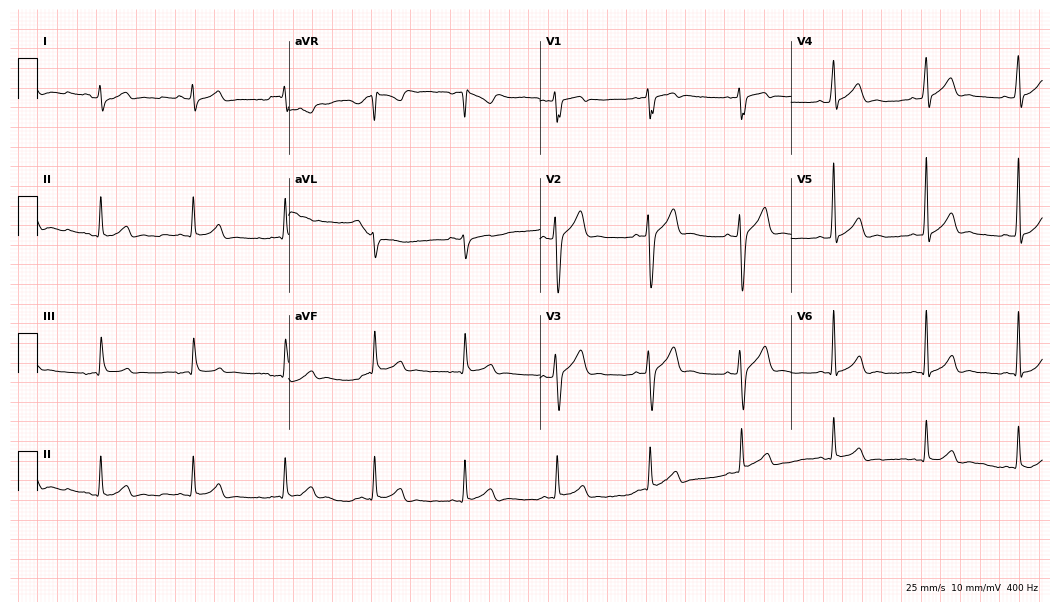
12-lead ECG from a 25-year-old male. Labelled as a normal ECG.